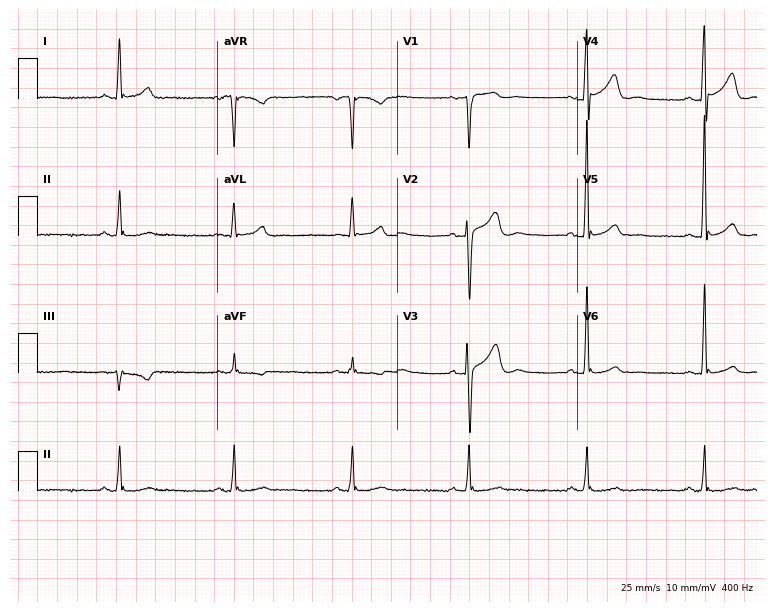
Resting 12-lead electrocardiogram (7.3-second recording at 400 Hz). Patient: a 55-year-old male. The tracing shows sinus bradycardia (a sinus rate of 50 beats per minute or less).